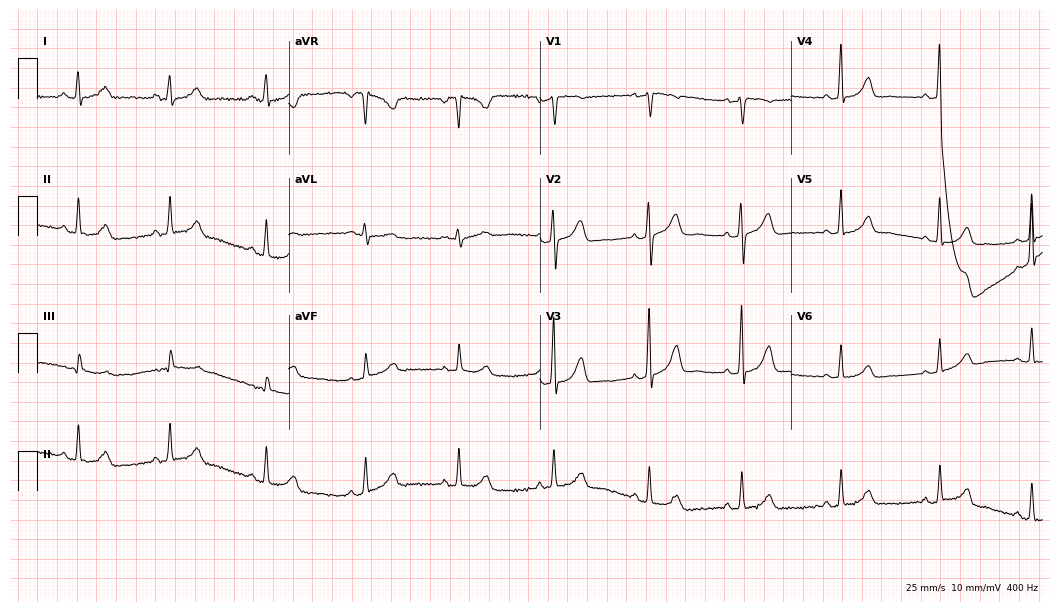
Electrocardiogram (10.2-second recording at 400 Hz), a 46-year-old female patient. Overall reading on record: normal ECG.